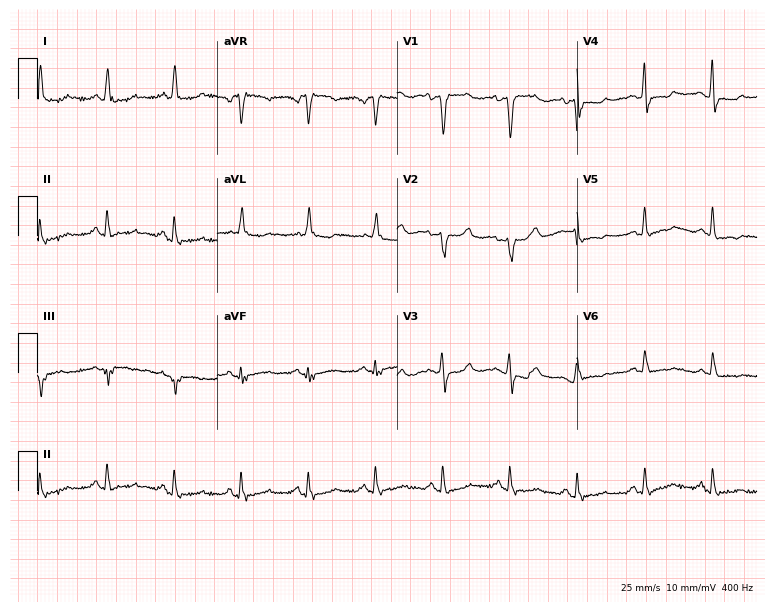
12-lead ECG (7.3-second recording at 400 Hz) from a female, 77 years old. Screened for six findings — first-degree AV block, right bundle branch block, left bundle branch block, sinus bradycardia, atrial fibrillation, sinus tachycardia — none is recorded. Findings outside these six are not listed.